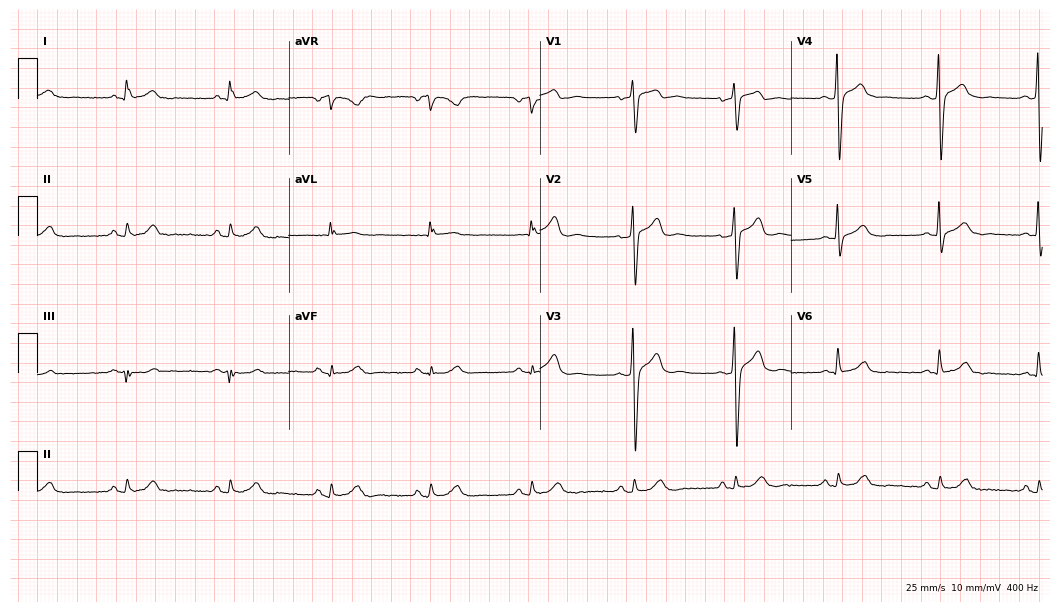
Resting 12-lead electrocardiogram (10.2-second recording at 400 Hz). Patient: a 47-year-old man. None of these six findings is recorded: first-degree AV block, right bundle branch block, left bundle branch block, sinus bradycardia, atrial fibrillation, sinus tachycardia.